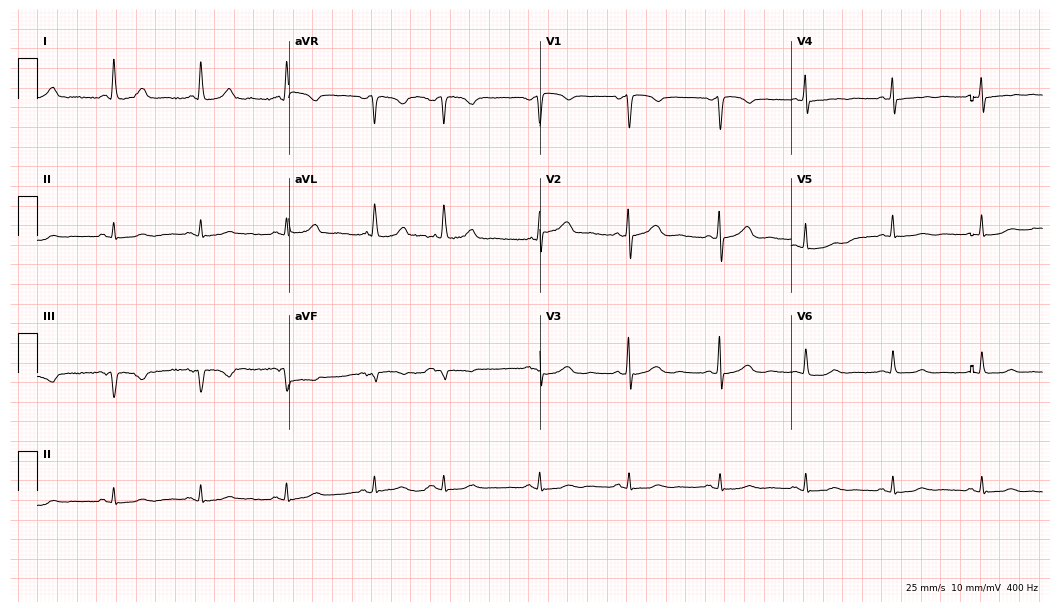
Electrocardiogram, a female patient, 83 years old. Of the six screened findings (first-degree AV block, right bundle branch block, left bundle branch block, sinus bradycardia, atrial fibrillation, sinus tachycardia), none is recorded.